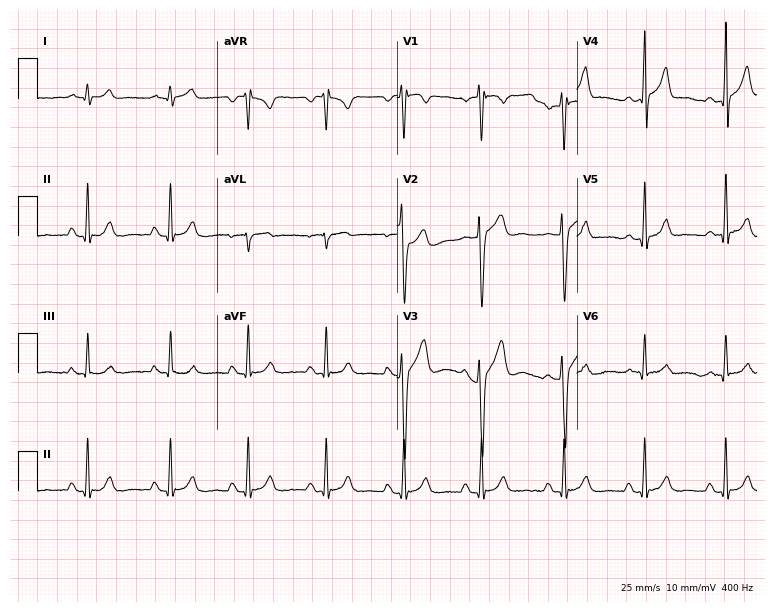
12-lead ECG from a female, 30 years old. No first-degree AV block, right bundle branch block, left bundle branch block, sinus bradycardia, atrial fibrillation or sinus tachycardia recorded for this tracing.